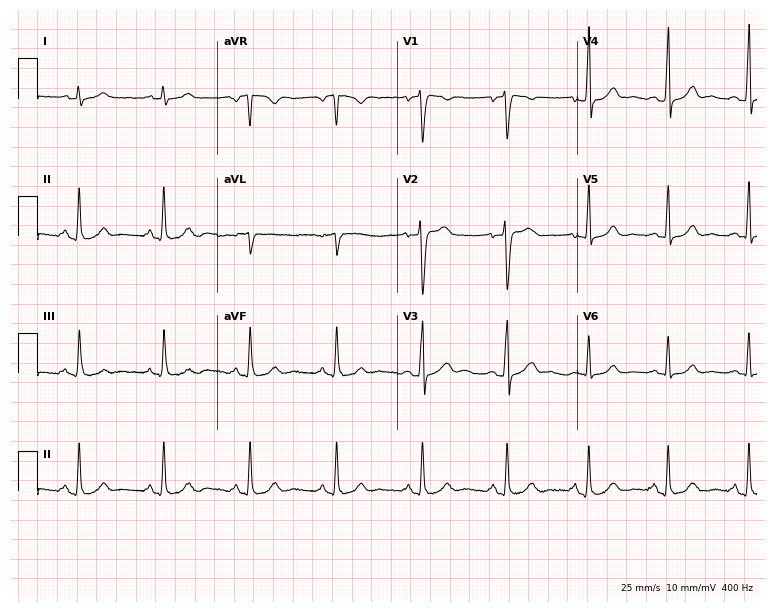
12-lead ECG from a 40-year-old male. Recorded interpretation: within normal limits.